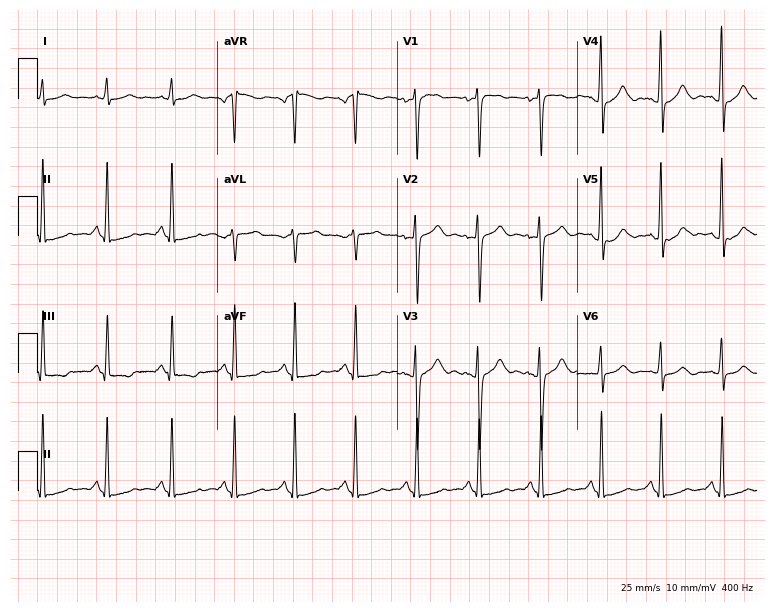
Electrocardiogram, a female, 34 years old. Overall reading on record: normal ECG.